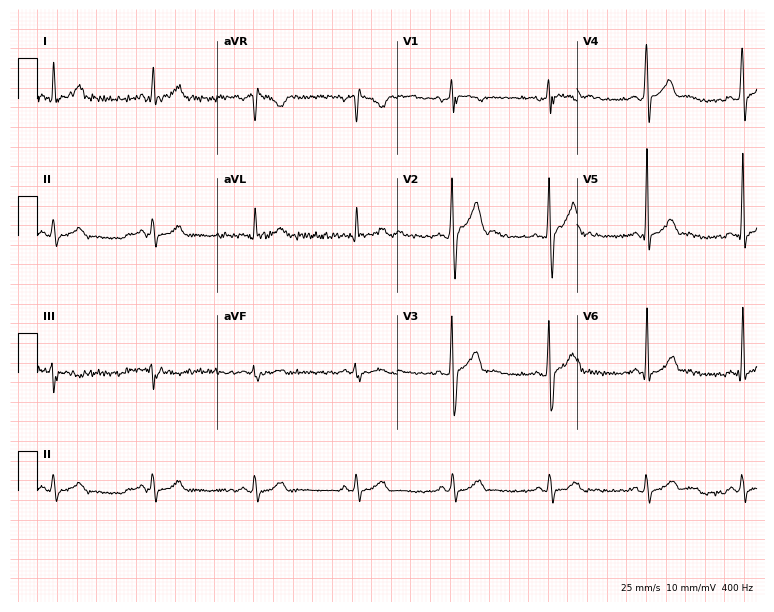
Standard 12-lead ECG recorded from a 27-year-old male patient (7.3-second recording at 400 Hz). Read as a normal ECG.